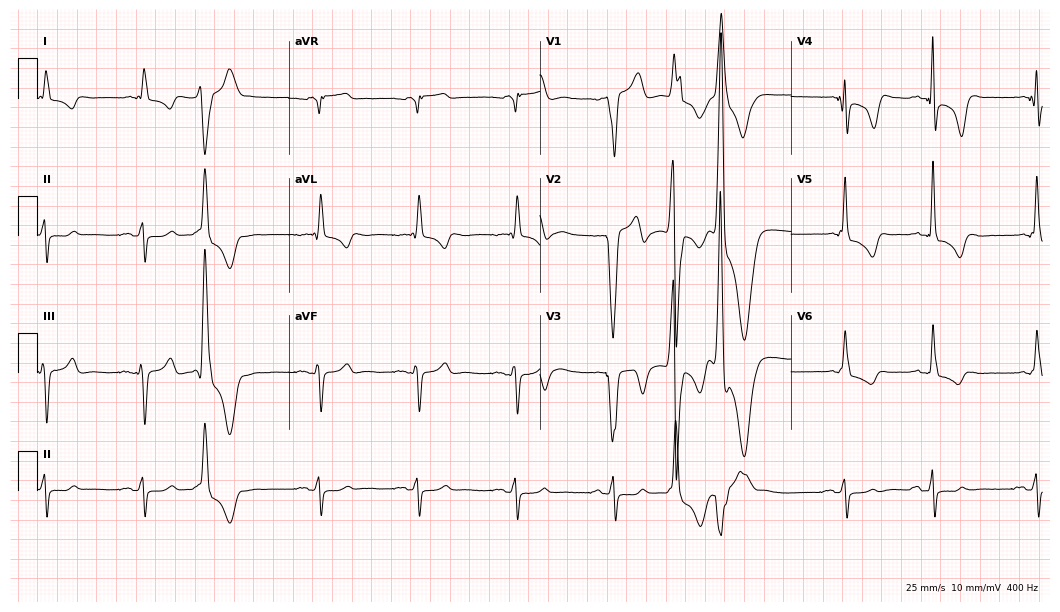
Electrocardiogram, a male, 61 years old. Interpretation includes left bundle branch block.